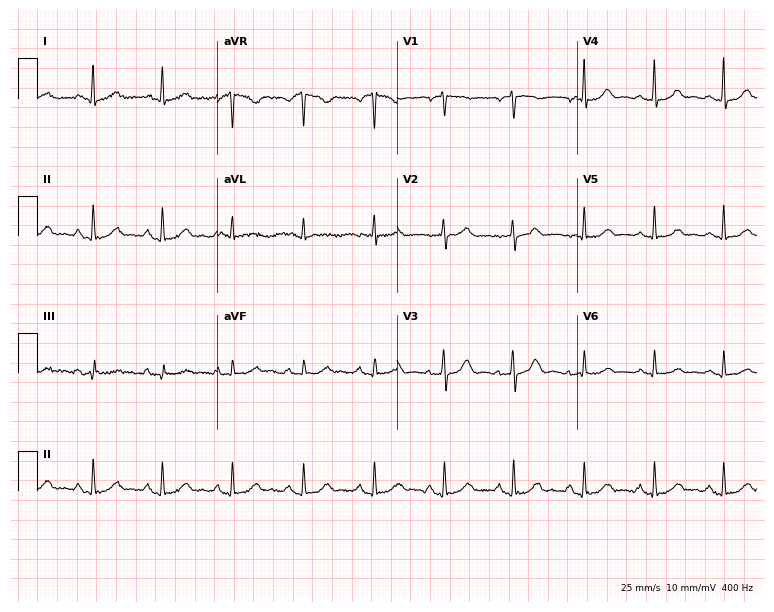
ECG — a 60-year-old female patient. Labelled as a normal ECG.